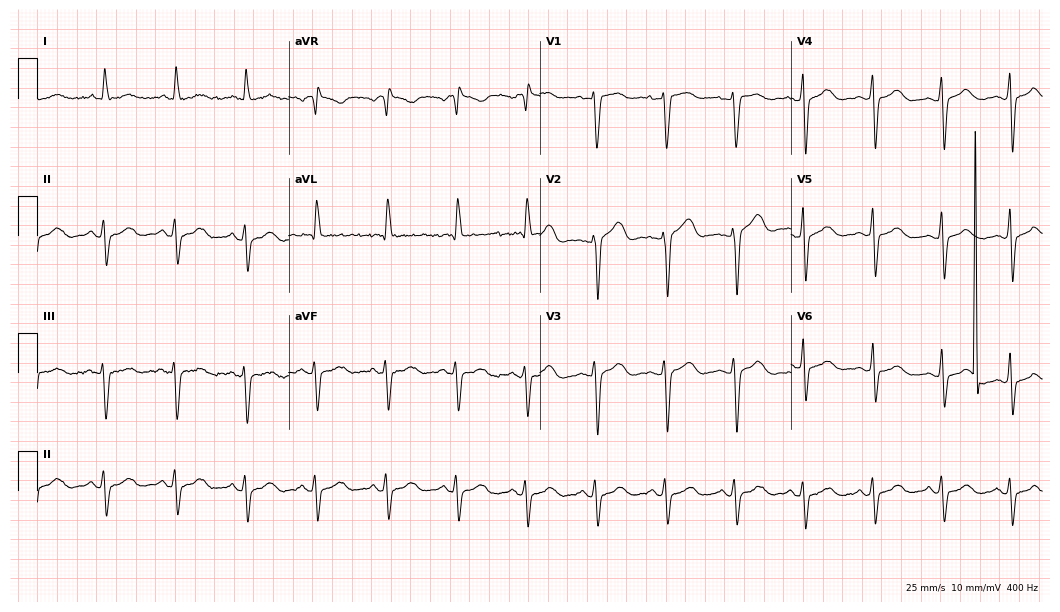
12-lead ECG from a female, 36 years old (10.2-second recording at 400 Hz). No first-degree AV block, right bundle branch block, left bundle branch block, sinus bradycardia, atrial fibrillation or sinus tachycardia recorded for this tracing. Findings outside these six are not listed.